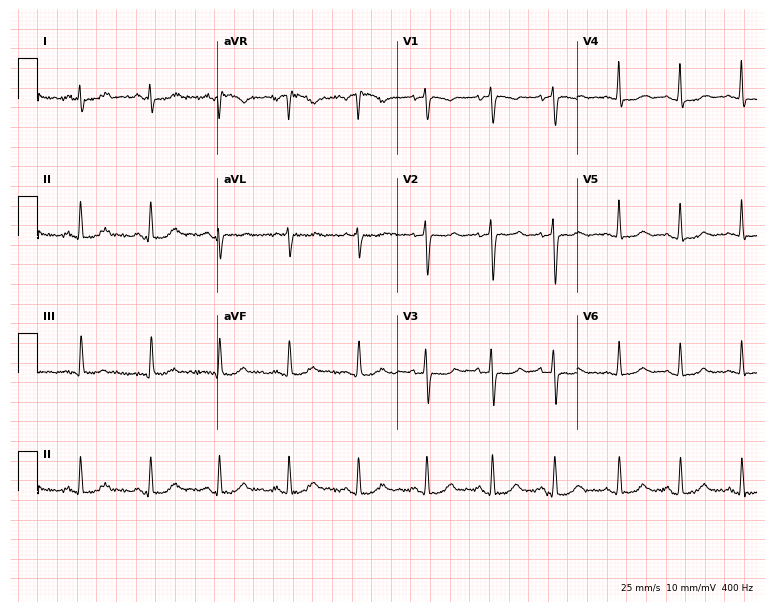
Standard 12-lead ECG recorded from a 59-year-old woman. None of these six findings is recorded: first-degree AV block, right bundle branch block (RBBB), left bundle branch block (LBBB), sinus bradycardia, atrial fibrillation (AF), sinus tachycardia. Only these six findings were labelled.